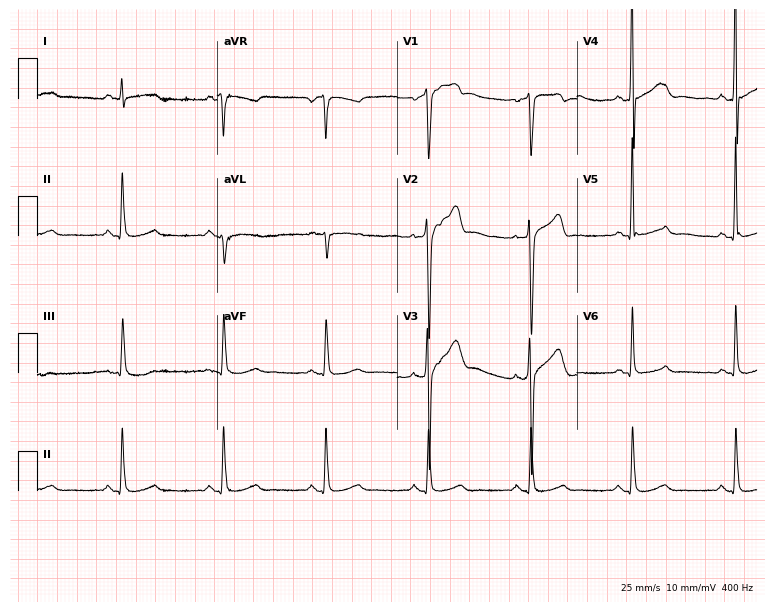
12-lead ECG (7.3-second recording at 400 Hz) from a 60-year-old man. Screened for six findings — first-degree AV block, right bundle branch block, left bundle branch block, sinus bradycardia, atrial fibrillation, sinus tachycardia — none is recorded. Other findings, if any, are not listed.